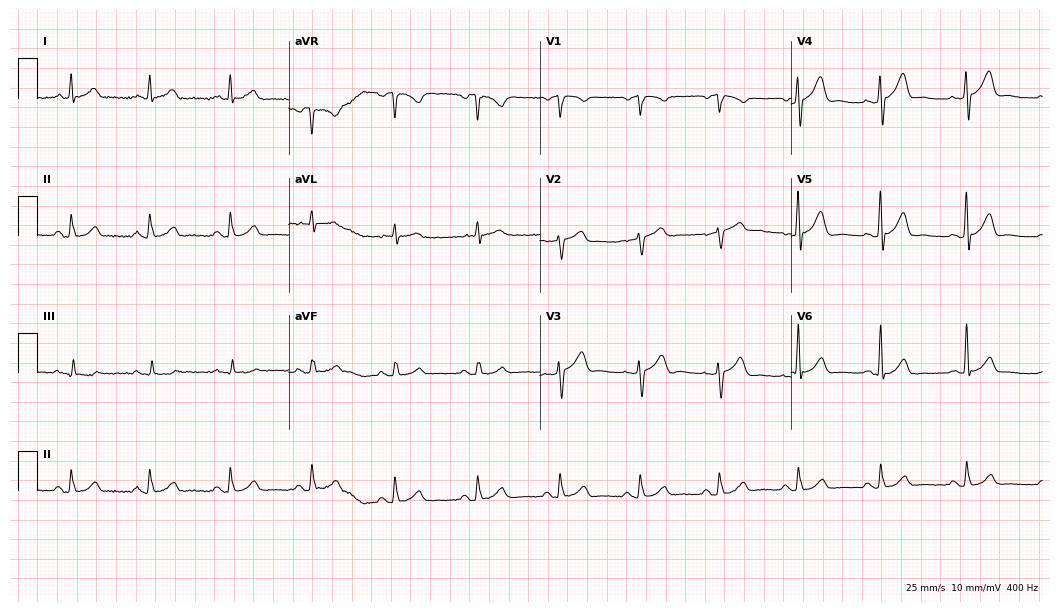
Standard 12-lead ECG recorded from a male patient, 63 years old. Read as a normal ECG.